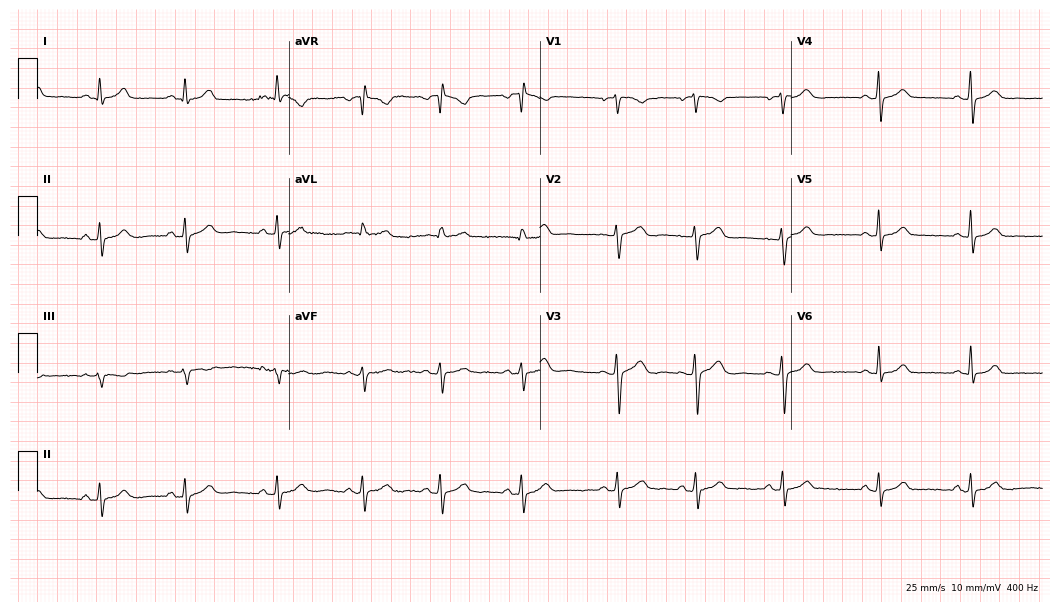
12-lead ECG from a 31-year-old female patient (10.2-second recording at 400 Hz). No first-degree AV block, right bundle branch block, left bundle branch block, sinus bradycardia, atrial fibrillation or sinus tachycardia recorded for this tracing. Only these six findings were labelled.